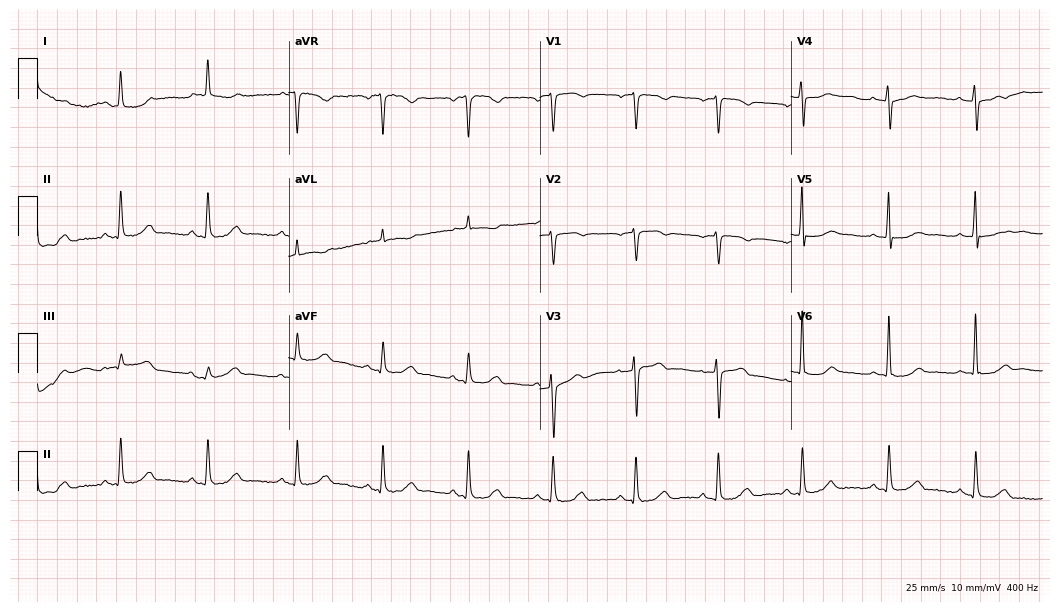
Resting 12-lead electrocardiogram. Patient: a female, 62 years old. None of these six findings is recorded: first-degree AV block, right bundle branch block, left bundle branch block, sinus bradycardia, atrial fibrillation, sinus tachycardia. Only these six findings were labelled.